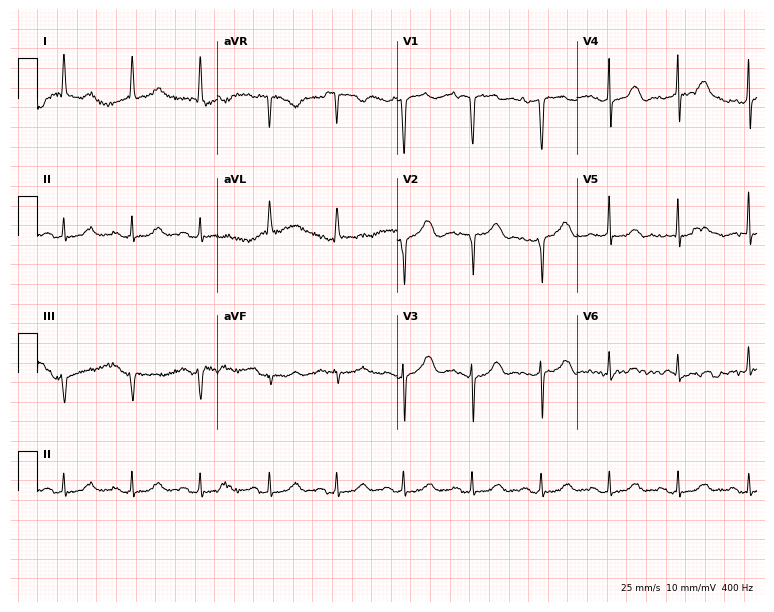
Electrocardiogram (7.3-second recording at 400 Hz), a female, 80 years old. Overall reading on record: normal ECG.